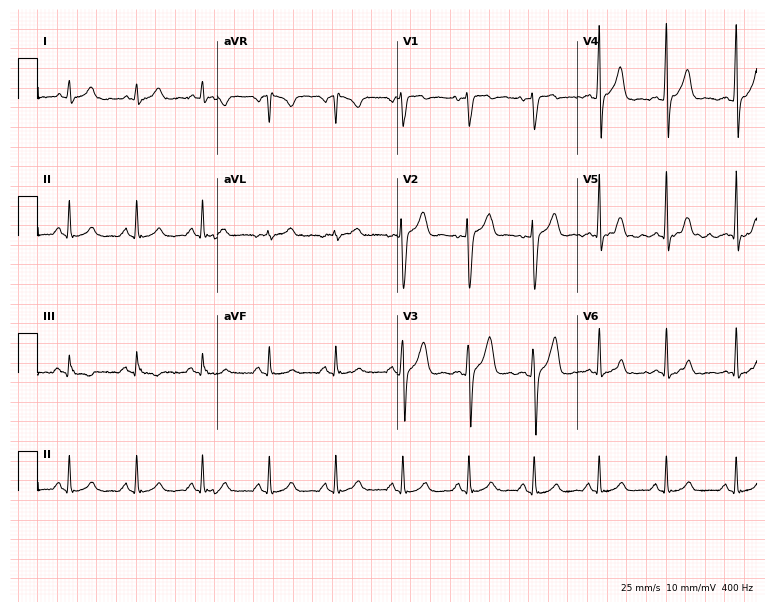
12-lead ECG from a 26-year-old male (7.3-second recording at 400 Hz). Recorded interpretation: within normal limits.